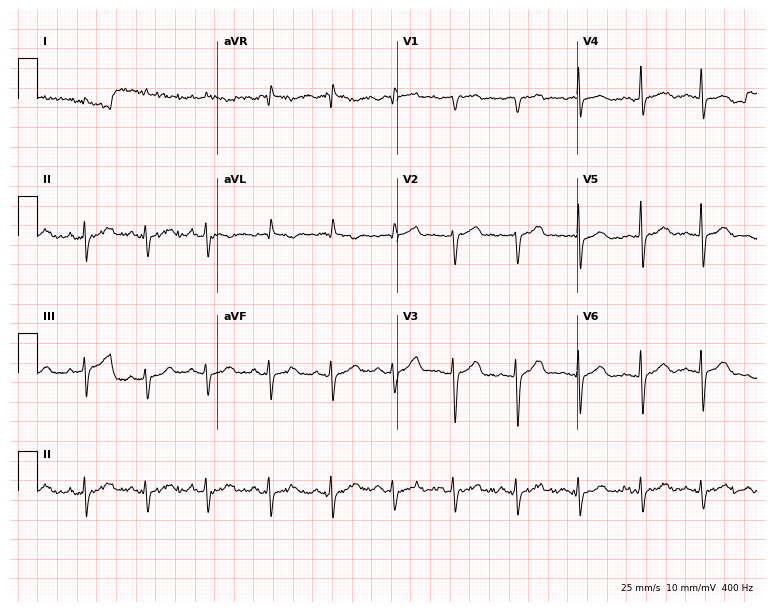
12-lead ECG (7.3-second recording at 400 Hz) from an 84-year-old man. Screened for six findings — first-degree AV block, right bundle branch block, left bundle branch block, sinus bradycardia, atrial fibrillation, sinus tachycardia — none is recorded.